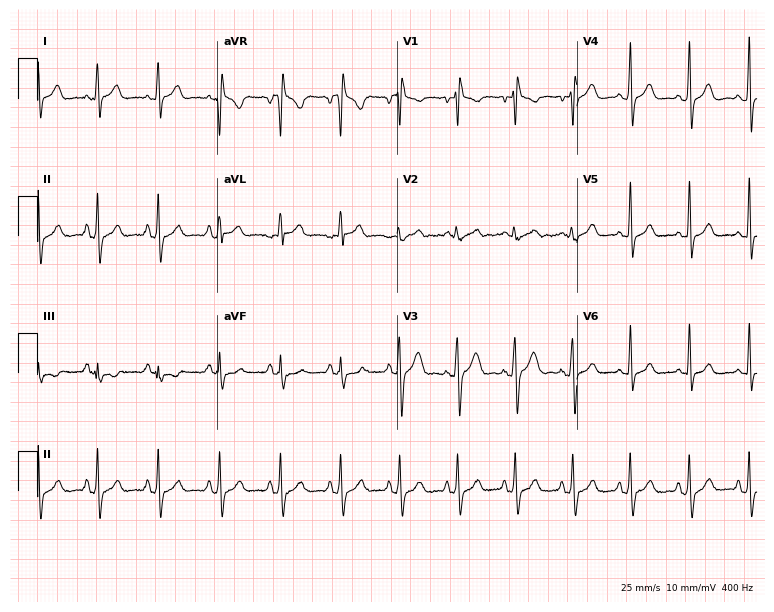
Standard 12-lead ECG recorded from a 21-year-old male patient. None of these six findings is recorded: first-degree AV block, right bundle branch block (RBBB), left bundle branch block (LBBB), sinus bradycardia, atrial fibrillation (AF), sinus tachycardia.